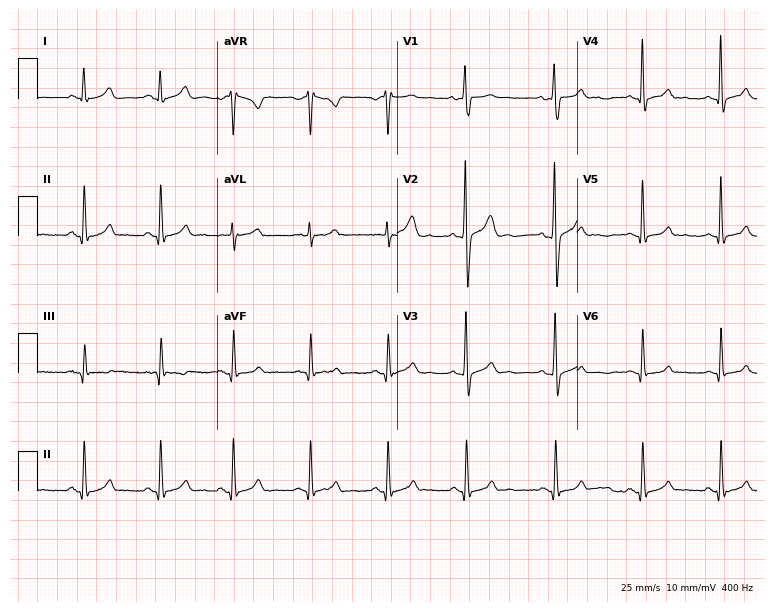
Standard 12-lead ECG recorded from a 24-year-old male patient. Read as a normal ECG.